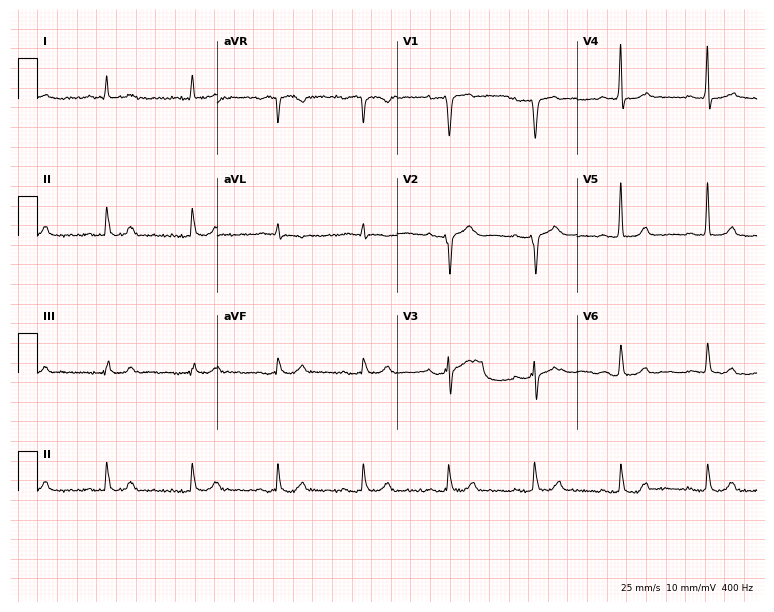
ECG (7.3-second recording at 400 Hz) — a 78-year-old male. Screened for six findings — first-degree AV block, right bundle branch block, left bundle branch block, sinus bradycardia, atrial fibrillation, sinus tachycardia — none is recorded. Findings outside these six are not listed.